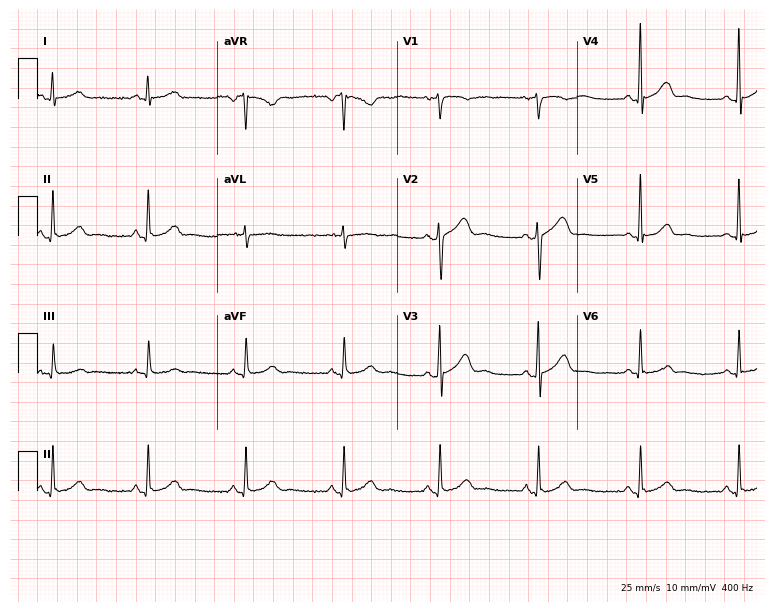
Electrocardiogram (7.3-second recording at 400 Hz), a female patient, 38 years old. Overall reading on record: normal ECG.